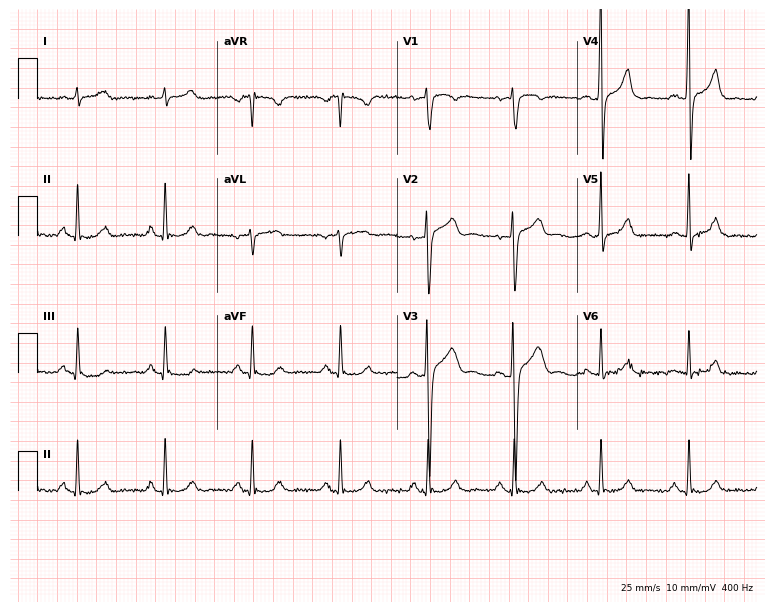
Resting 12-lead electrocardiogram. Patient: a 43-year-old male. None of these six findings is recorded: first-degree AV block, right bundle branch block (RBBB), left bundle branch block (LBBB), sinus bradycardia, atrial fibrillation (AF), sinus tachycardia.